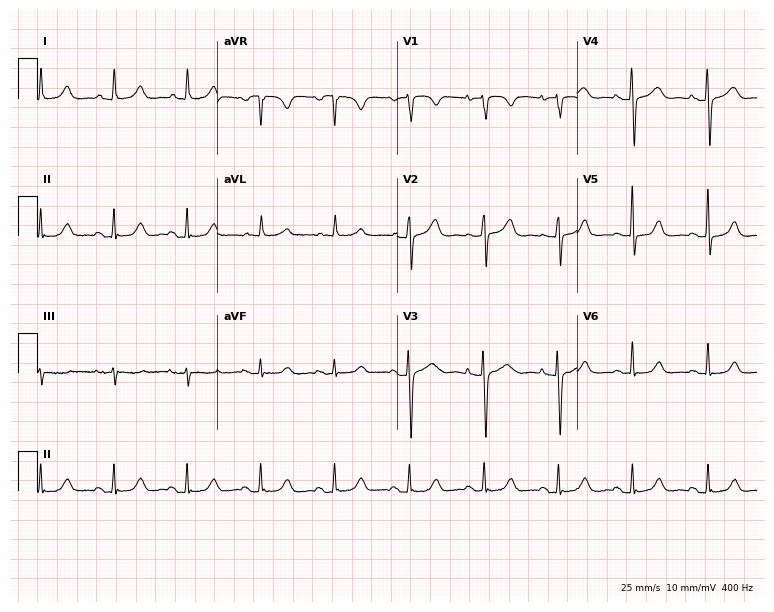
ECG — a female, 75 years old. Labelled as a normal ECG.